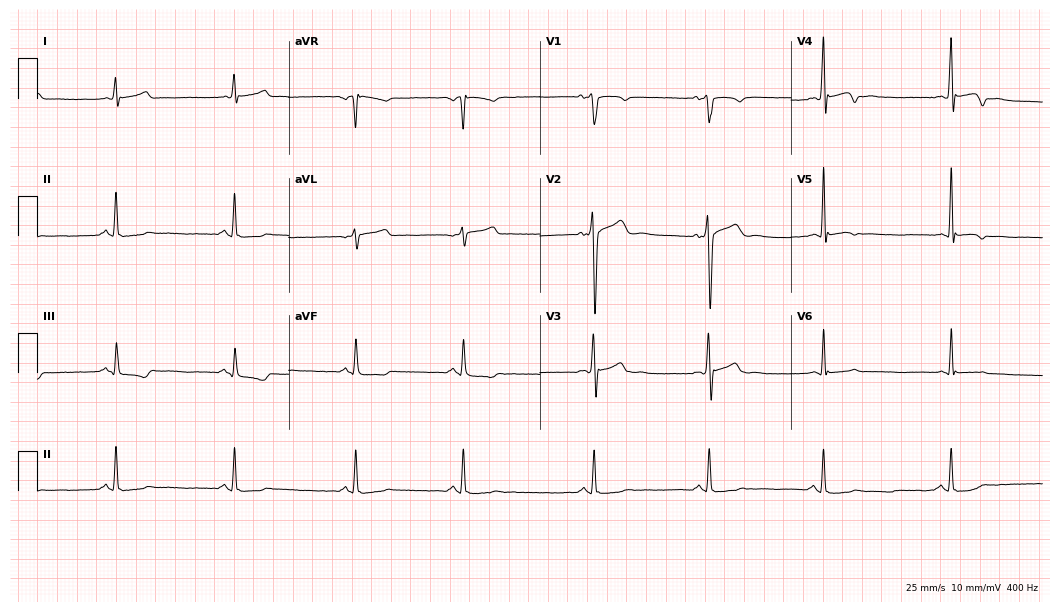
12-lead ECG from a 19-year-old male patient. No first-degree AV block, right bundle branch block, left bundle branch block, sinus bradycardia, atrial fibrillation or sinus tachycardia recorded for this tracing.